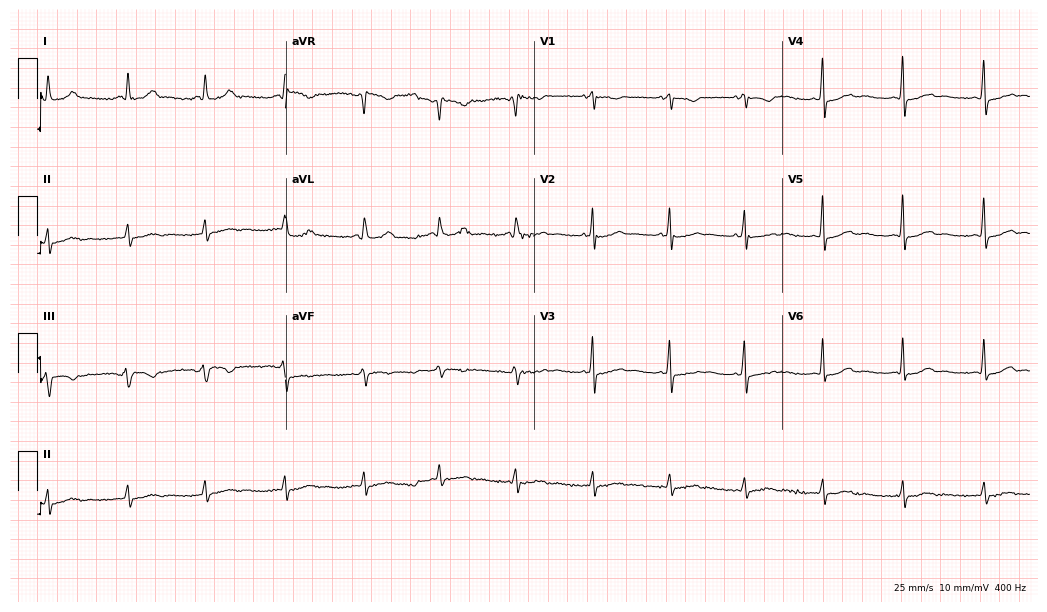
12-lead ECG from a female, 71 years old. No first-degree AV block, right bundle branch block, left bundle branch block, sinus bradycardia, atrial fibrillation or sinus tachycardia recorded for this tracing.